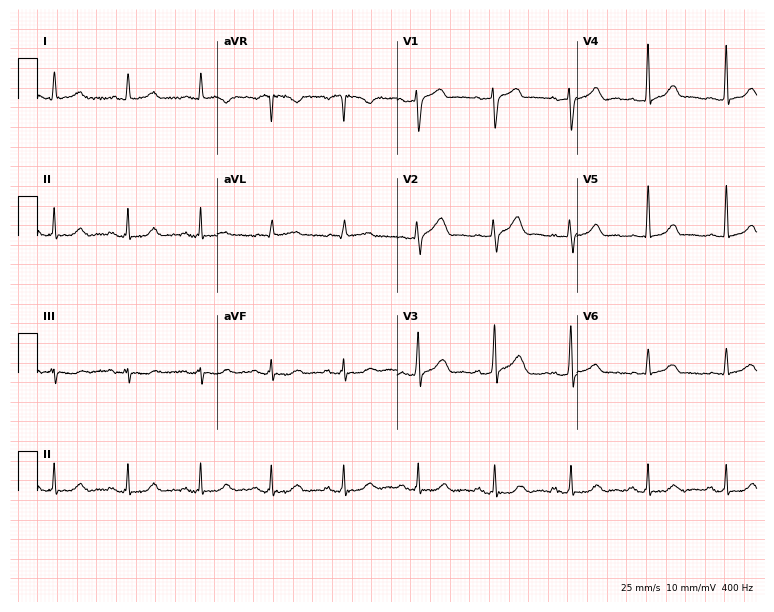
Standard 12-lead ECG recorded from a male, 65 years old. Read as a normal ECG.